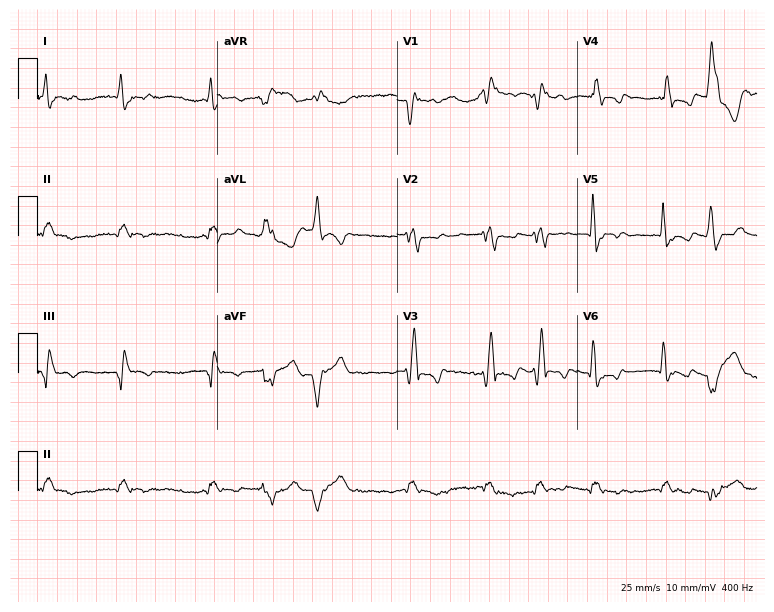
Resting 12-lead electrocardiogram. Patient: a male, 79 years old. The tracing shows right bundle branch block, atrial fibrillation.